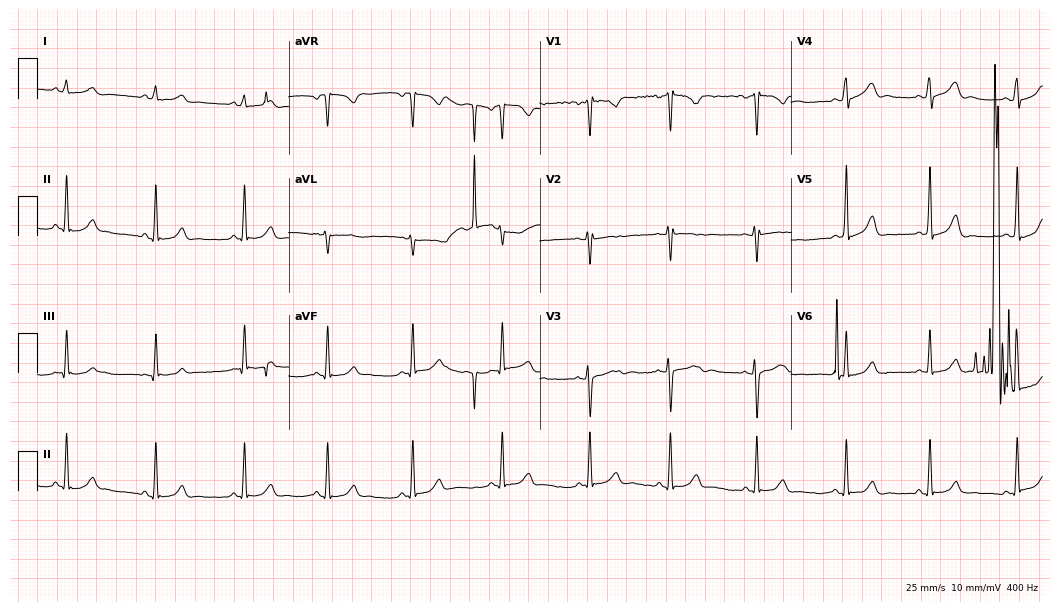
ECG (10.2-second recording at 400 Hz) — a woman, 17 years old. Screened for six findings — first-degree AV block, right bundle branch block (RBBB), left bundle branch block (LBBB), sinus bradycardia, atrial fibrillation (AF), sinus tachycardia — none is recorded.